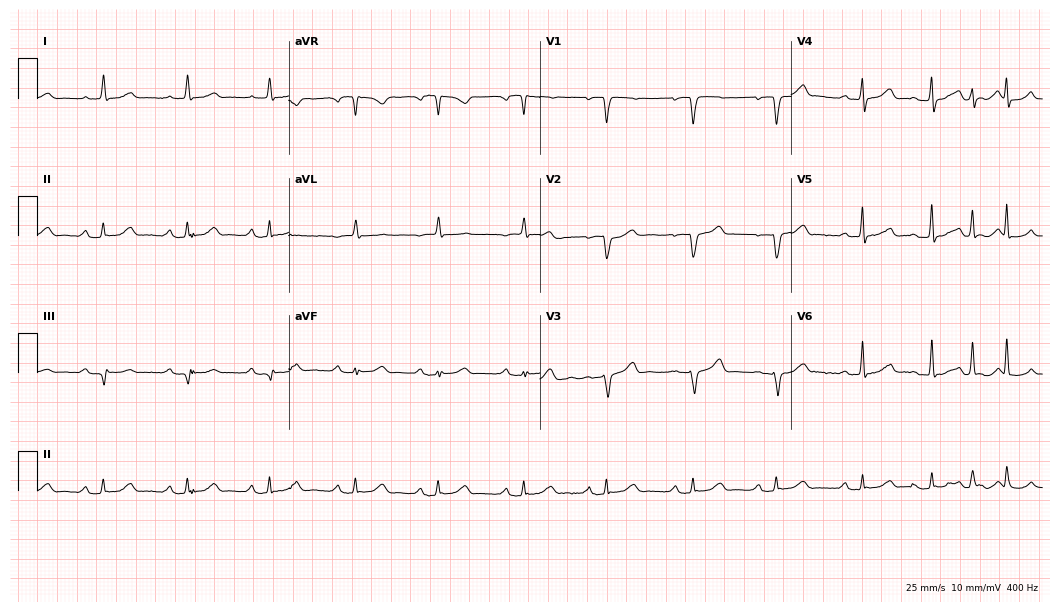
Electrocardiogram, a 79-year-old male. Of the six screened findings (first-degree AV block, right bundle branch block, left bundle branch block, sinus bradycardia, atrial fibrillation, sinus tachycardia), none is recorded. Other findings, if any, are not listed.